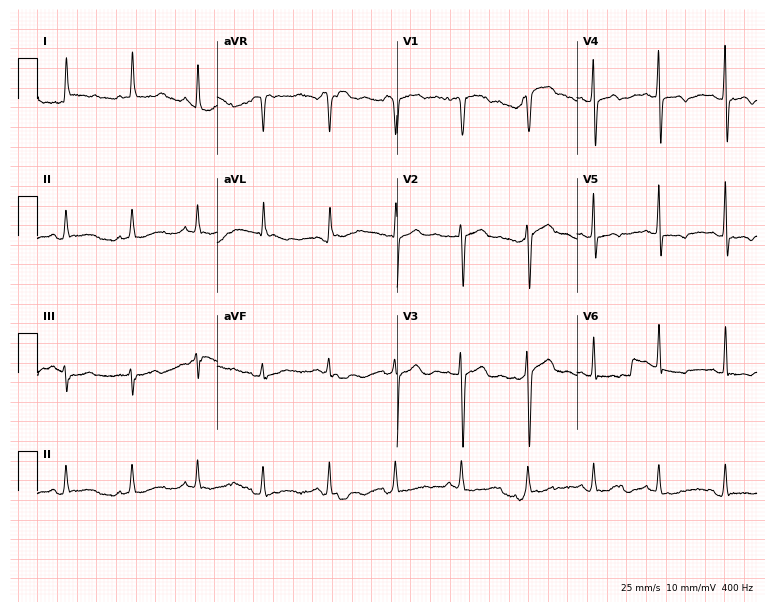
Resting 12-lead electrocardiogram (7.3-second recording at 400 Hz). Patient: a 53-year-old female. None of these six findings is recorded: first-degree AV block, right bundle branch block, left bundle branch block, sinus bradycardia, atrial fibrillation, sinus tachycardia.